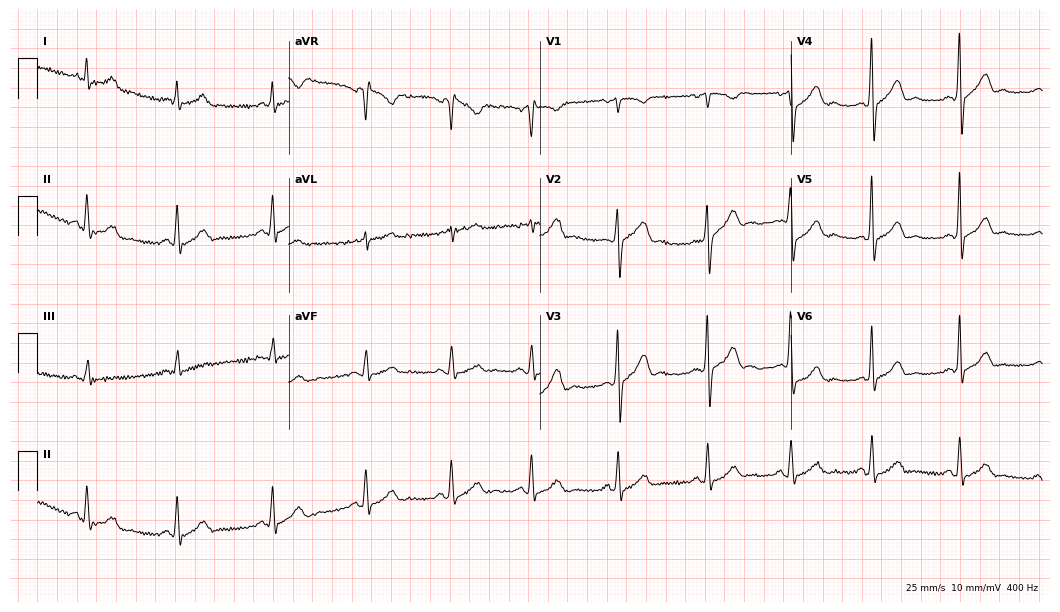
Resting 12-lead electrocardiogram (10.2-second recording at 400 Hz). Patient: a female, 37 years old. Read as a normal ECG.